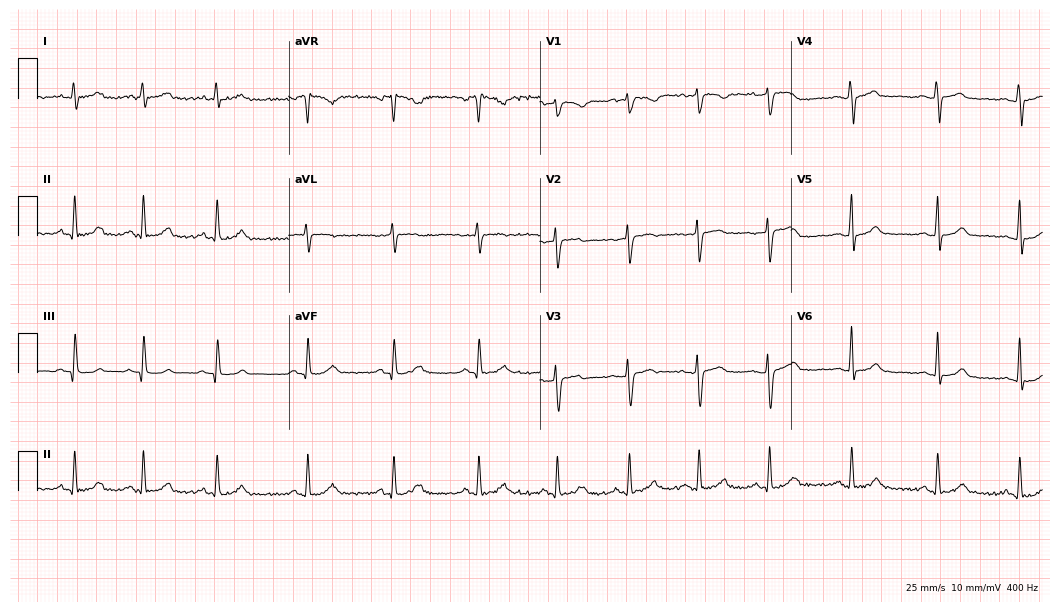
12-lead ECG (10.2-second recording at 400 Hz) from a woman, 31 years old. Labelled as a normal ECG.